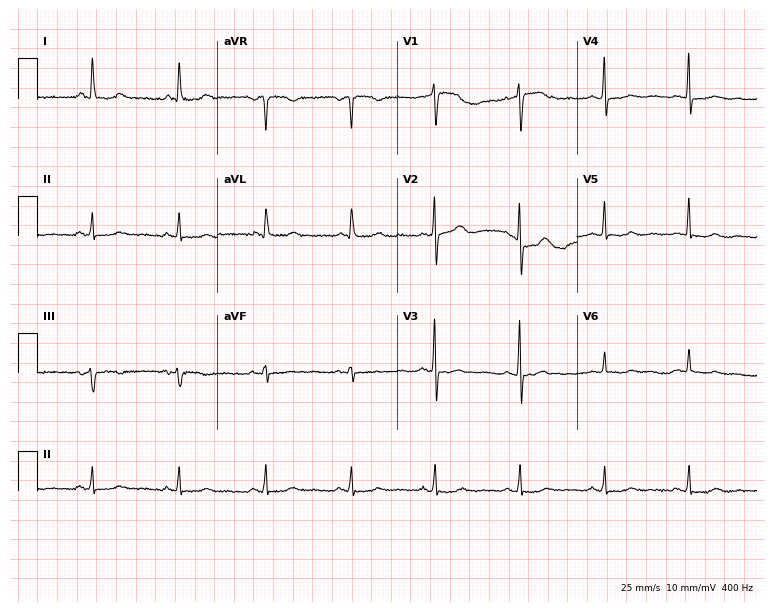
Electrocardiogram (7.3-second recording at 400 Hz), a 61-year-old female patient. Of the six screened findings (first-degree AV block, right bundle branch block, left bundle branch block, sinus bradycardia, atrial fibrillation, sinus tachycardia), none is recorded.